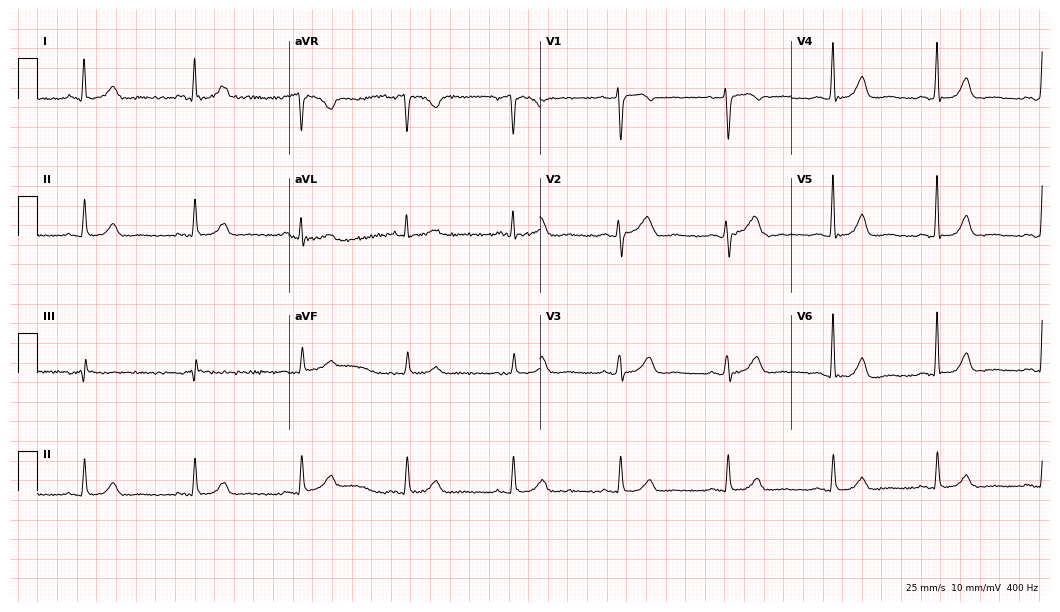
12-lead ECG (10.2-second recording at 400 Hz) from a 64-year-old female. Screened for six findings — first-degree AV block, right bundle branch block, left bundle branch block, sinus bradycardia, atrial fibrillation, sinus tachycardia — none is recorded. Only these six findings were labelled.